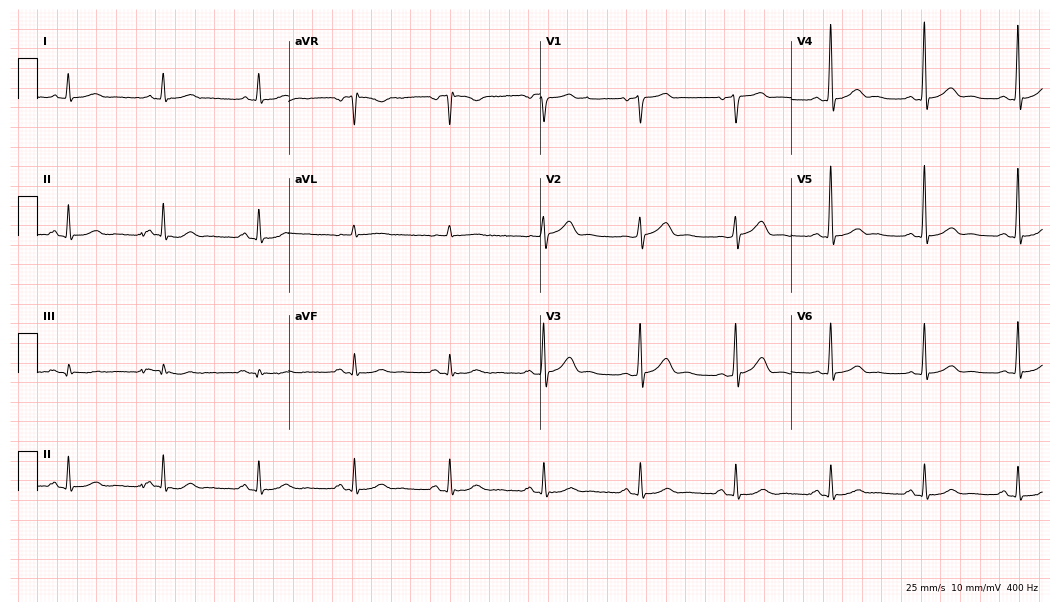
12-lead ECG from a 72-year-old male. Screened for six findings — first-degree AV block, right bundle branch block, left bundle branch block, sinus bradycardia, atrial fibrillation, sinus tachycardia — none is recorded.